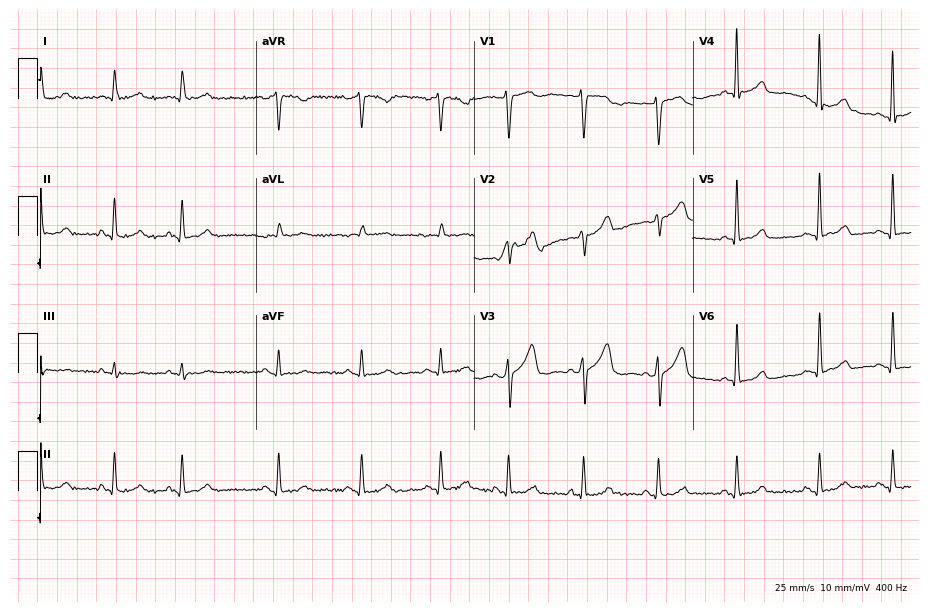
12-lead ECG from a male, 74 years old. Recorded interpretation: within normal limits.